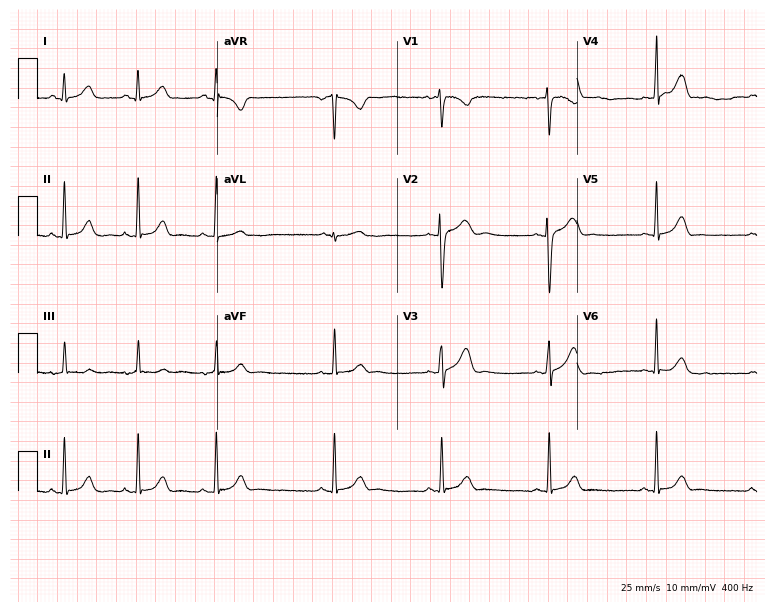
12-lead ECG (7.3-second recording at 400 Hz) from an 18-year-old female patient. Labelled as a normal ECG.